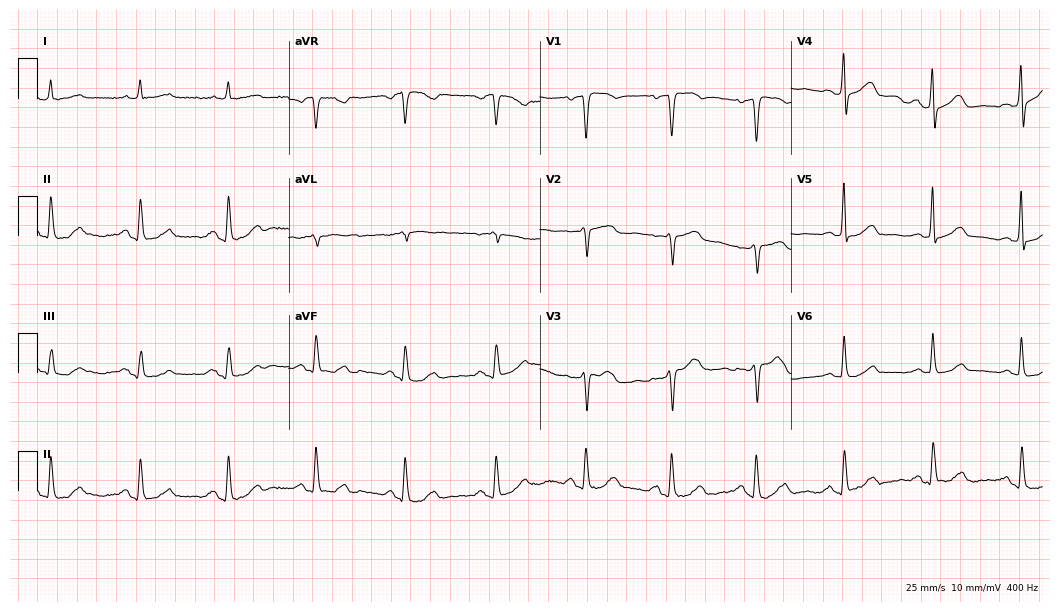
ECG (10.2-second recording at 400 Hz) — a woman, 79 years old. Screened for six findings — first-degree AV block, right bundle branch block (RBBB), left bundle branch block (LBBB), sinus bradycardia, atrial fibrillation (AF), sinus tachycardia — none is recorded.